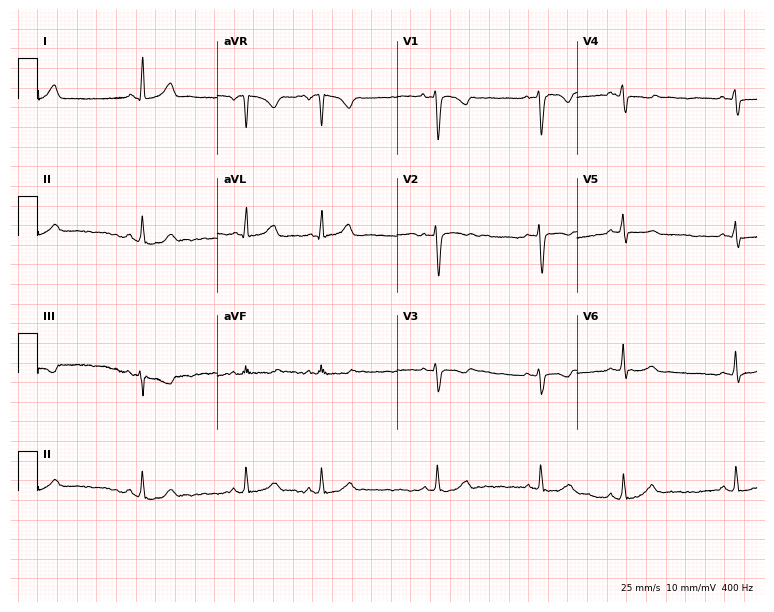
Standard 12-lead ECG recorded from a woman, 22 years old (7.3-second recording at 400 Hz). Read as a normal ECG.